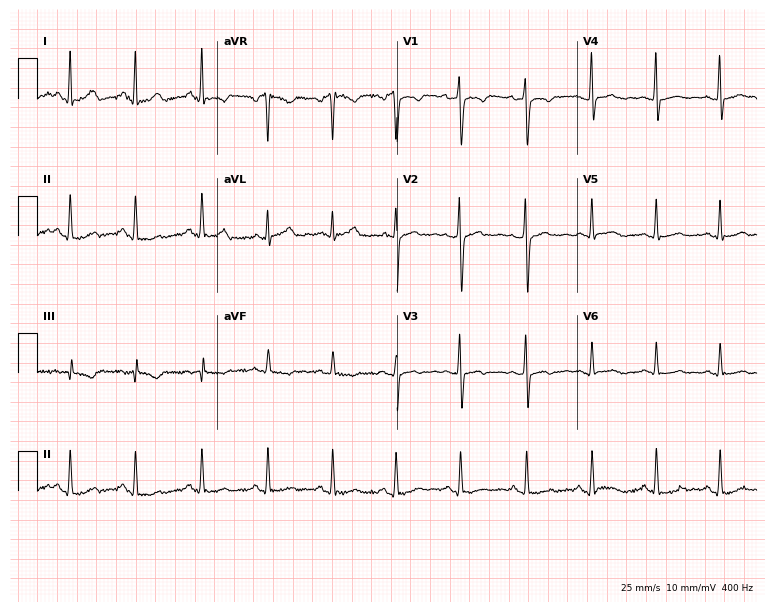
Electrocardiogram, a 19-year-old female. Of the six screened findings (first-degree AV block, right bundle branch block, left bundle branch block, sinus bradycardia, atrial fibrillation, sinus tachycardia), none is recorded. Findings outside these six are not listed.